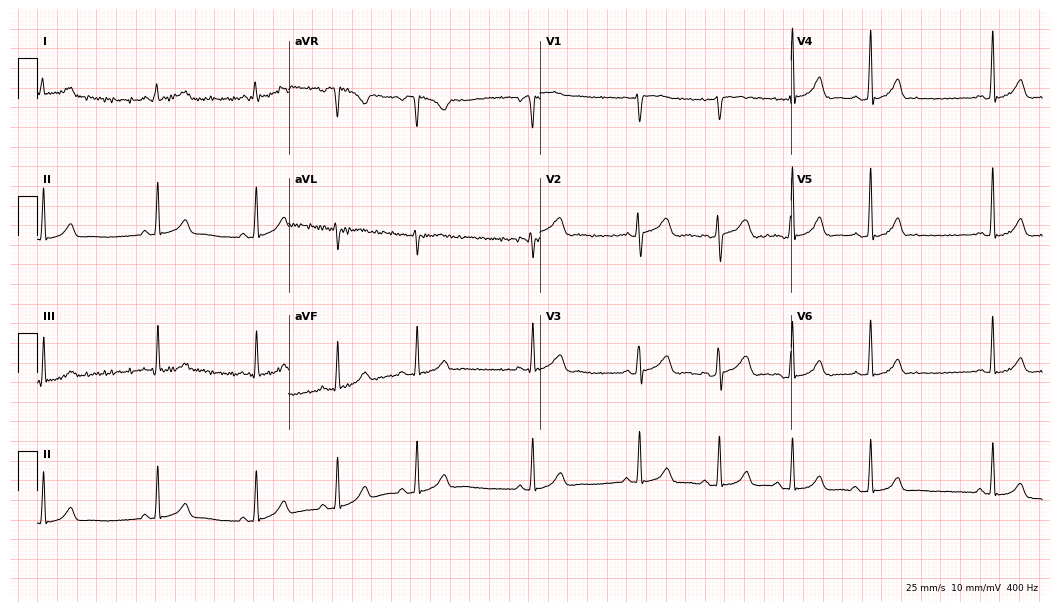
Resting 12-lead electrocardiogram. Patient: a female, 18 years old. None of these six findings is recorded: first-degree AV block, right bundle branch block, left bundle branch block, sinus bradycardia, atrial fibrillation, sinus tachycardia.